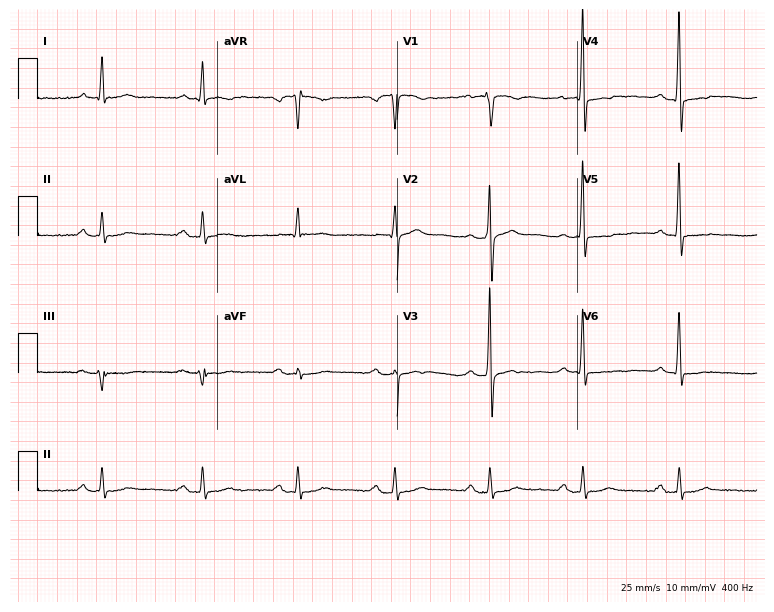
Standard 12-lead ECG recorded from a 65-year-old man (7.3-second recording at 400 Hz). The tracing shows first-degree AV block.